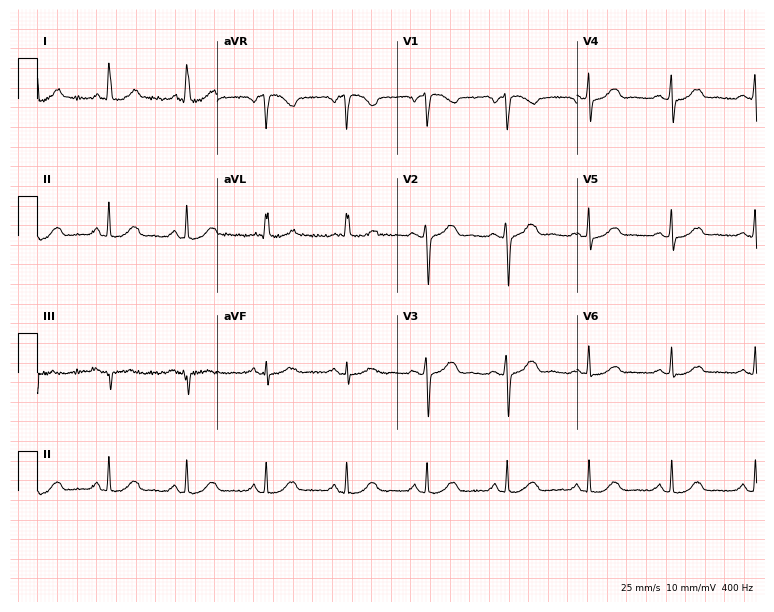
Resting 12-lead electrocardiogram. Patient: a 66-year-old female. Read as a normal ECG.